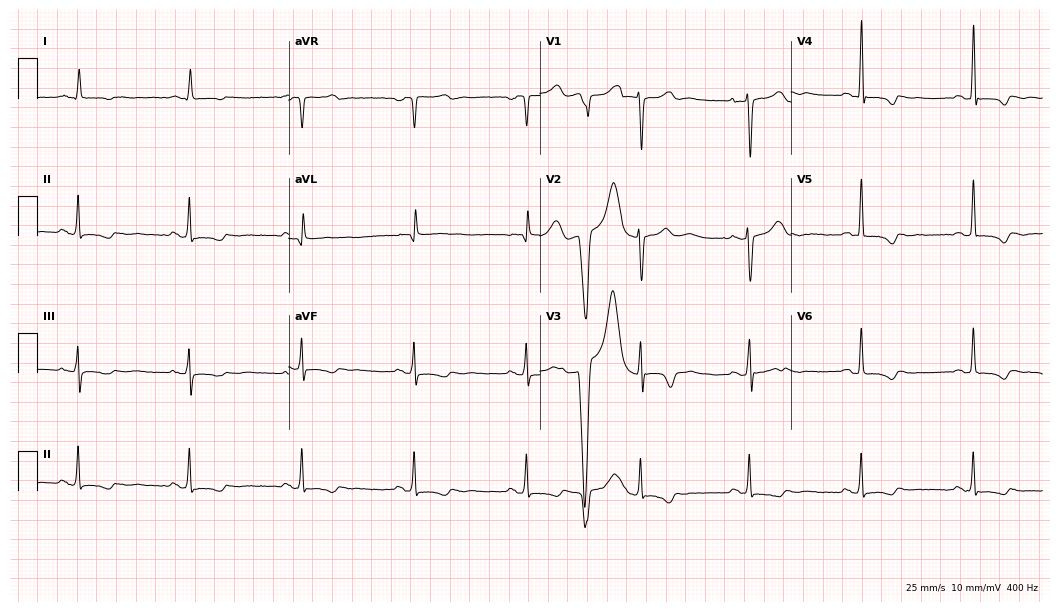
12-lead ECG from a 57-year-old female patient. No first-degree AV block, right bundle branch block (RBBB), left bundle branch block (LBBB), sinus bradycardia, atrial fibrillation (AF) or sinus tachycardia recorded for this tracing.